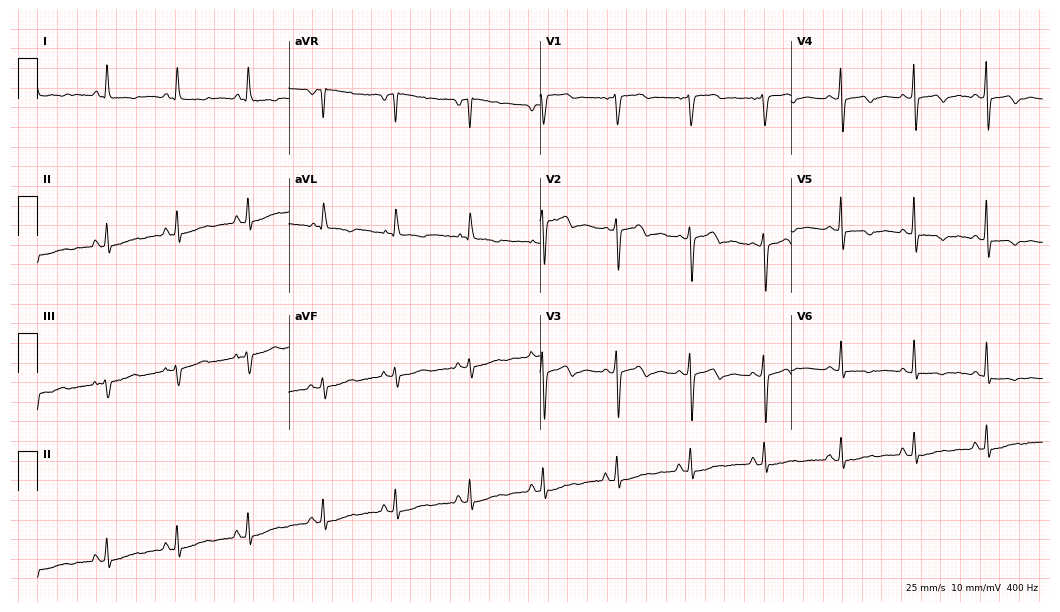
Electrocardiogram, a 59-year-old woman. Of the six screened findings (first-degree AV block, right bundle branch block (RBBB), left bundle branch block (LBBB), sinus bradycardia, atrial fibrillation (AF), sinus tachycardia), none is recorded. Other findings, if any, are not listed.